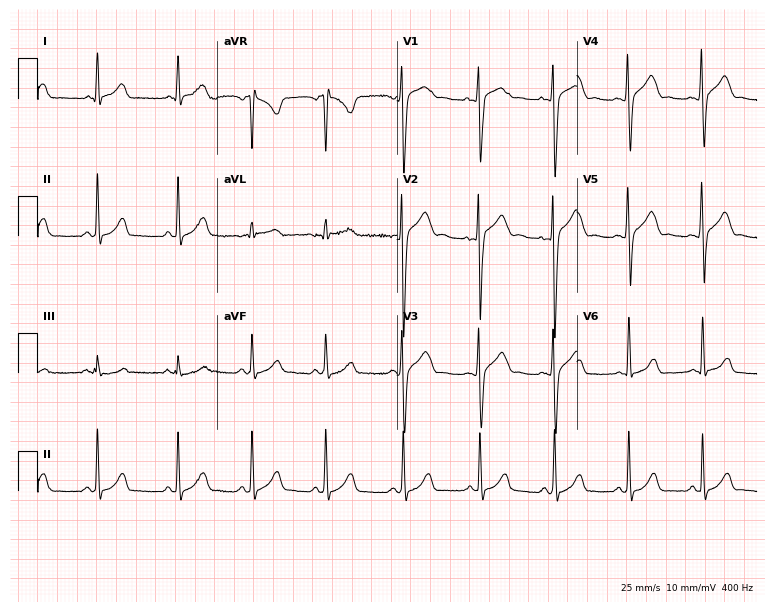
ECG (7.3-second recording at 400 Hz) — a man, 17 years old. Screened for six findings — first-degree AV block, right bundle branch block, left bundle branch block, sinus bradycardia, atrial fibrillation, sinus tachycardia — none is recorded. Findings outside these six are not listed.